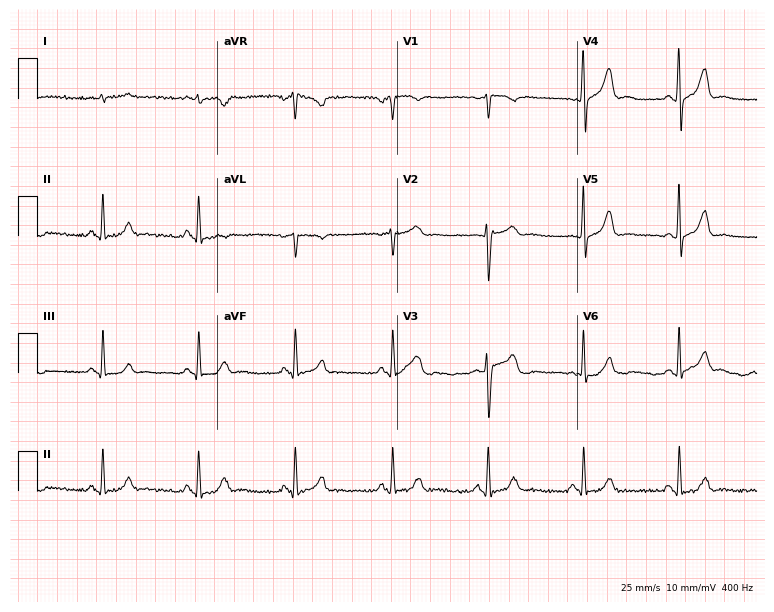
12-lead ECG from a male, 76 years old (7.3-second recording at 400 Hz). Recorded interpretation: within normal limits.